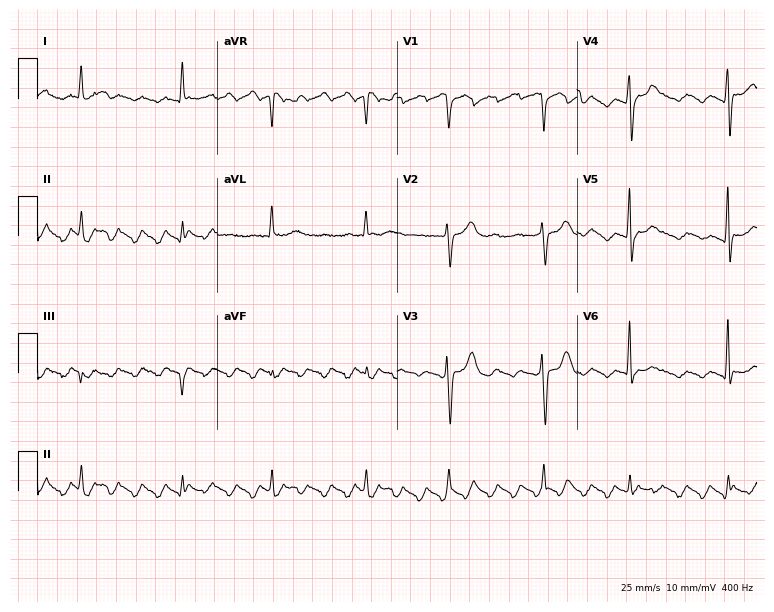
Standard 12-lead ECG recorded from a man, 69 years old. None of these six findings is recorded: first-degree AV block, right bundle branch block, left bundle branch block, sinus bradycardia, atrial fibrillation, sinus tachycardia. Findings outside these six are not listed.